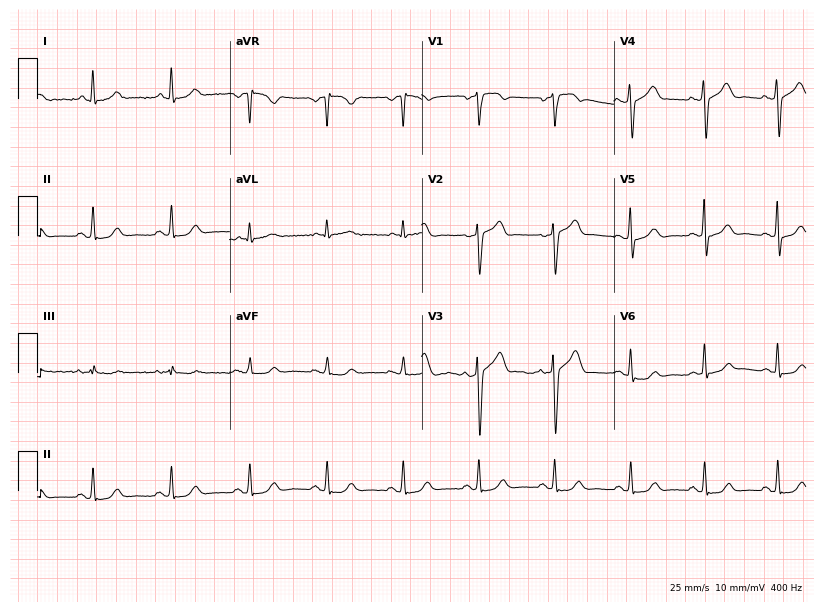
ECG — a 67-year-old man. Screened for six findings — first-degree AV block, right bundle branch block (RBBB), left bundle branch block (LBBB), sinus bradycardia, atrial fibrillation (AF), sinus tachycardia — none is recorded. Other findings, if any, are not listed.